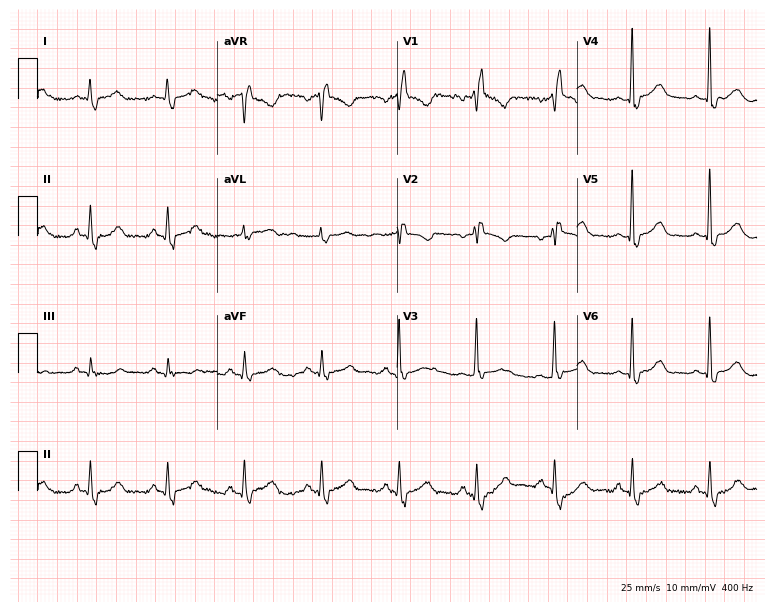
Electrocardiogram, a female, 42 years old. Interpretation includes right bundle branch block.